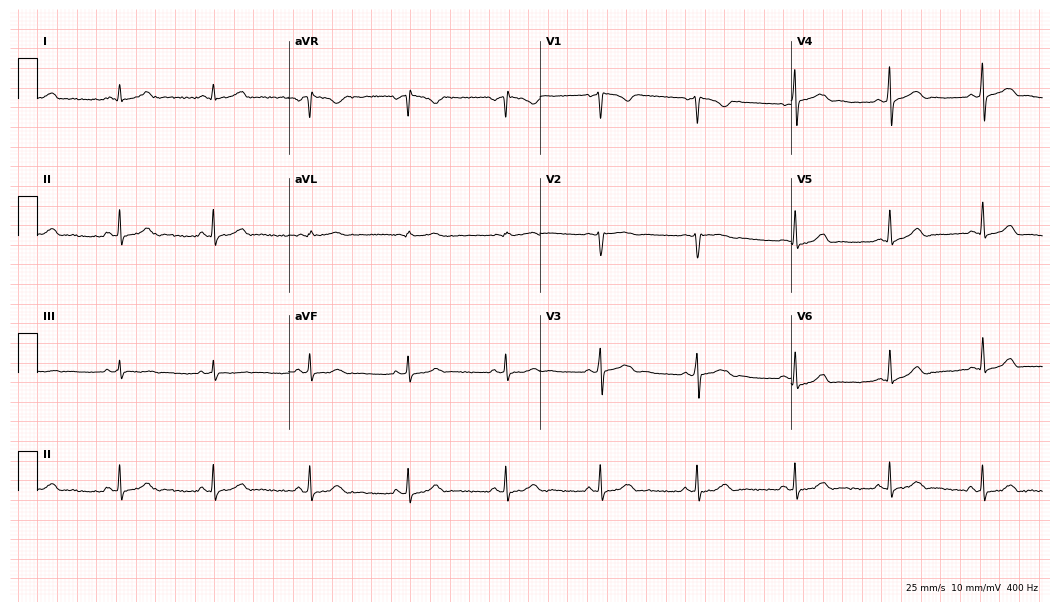
ECG — a 24-year-old female. Screened for six findings — first-degree AV block, right bundle branch block, left bundle branch block, sinus bradycardia, atrial fibrillation, sinus tachycardia — none is recorded.